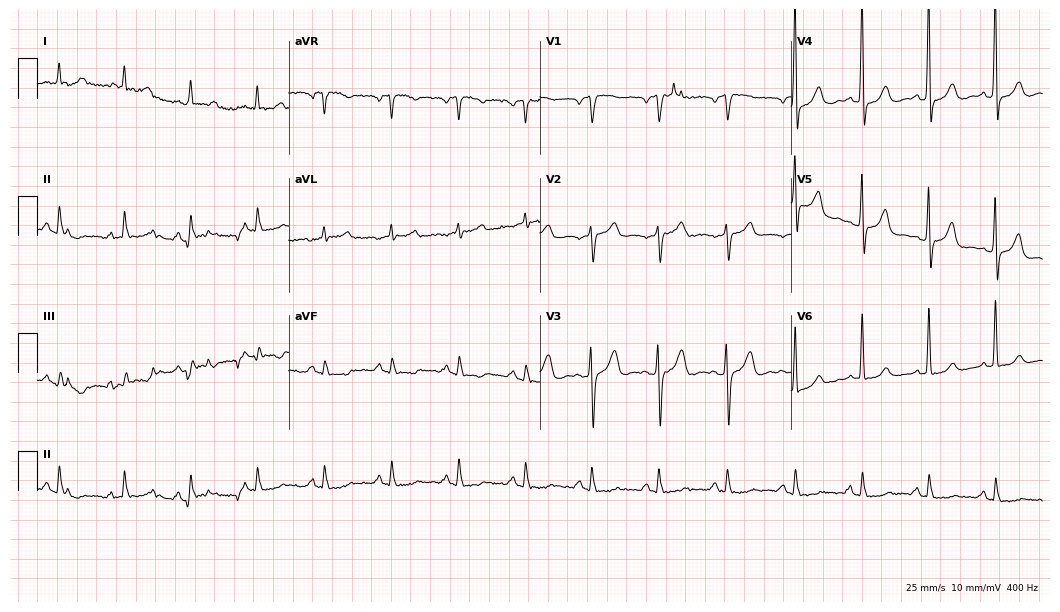
Standard 12-lead ECG recorded from a 76-year-old male. None of these six findings is recorded: first-degree AV block, right bundle branch block, left bundle branch block, sinus bradycardia, atrial fibrillation, sinus tachycardia. Only these six findings were labelled.